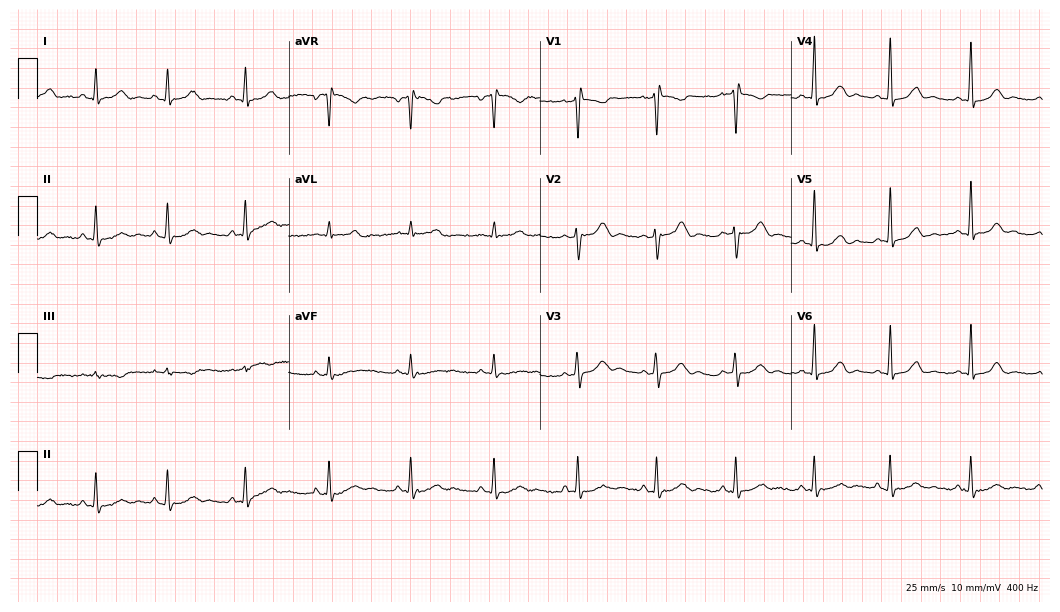
Electrocardiogram, a 25-year-old female patient. Of the six screened findings (first-degree AV block, right bundle branch block, left bundle branch block, sinus bradycardia, atrial fibrillation, sinus tachycardia), none is recorded. Only these six findings were labelled.